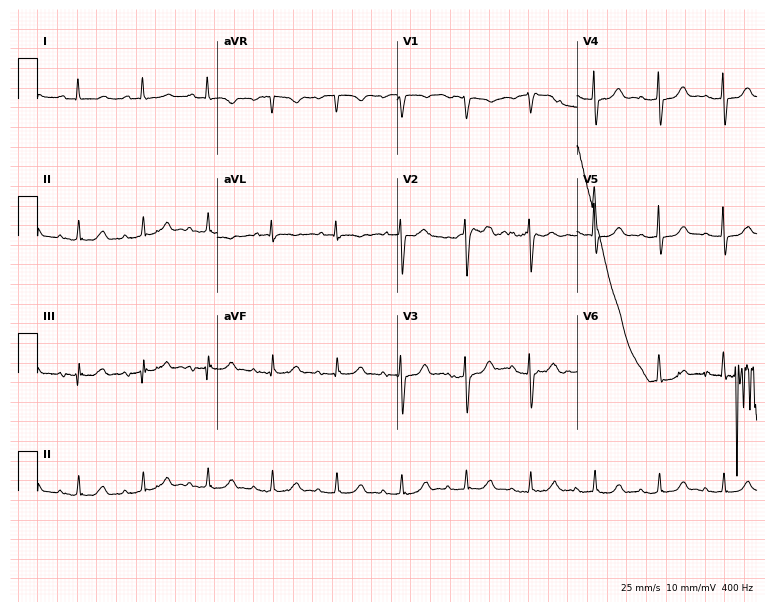
Electrocardiogram (7.3-second recording at 400 Hz), a 79-year-old woman. Of the six screened findings (first-degree AV block, right bundle branch block, left bundle branch block, sinus bradycardia, atrial fibrillation, sinus tachycardia), none is recorded. Other findings, if any, are not listed.